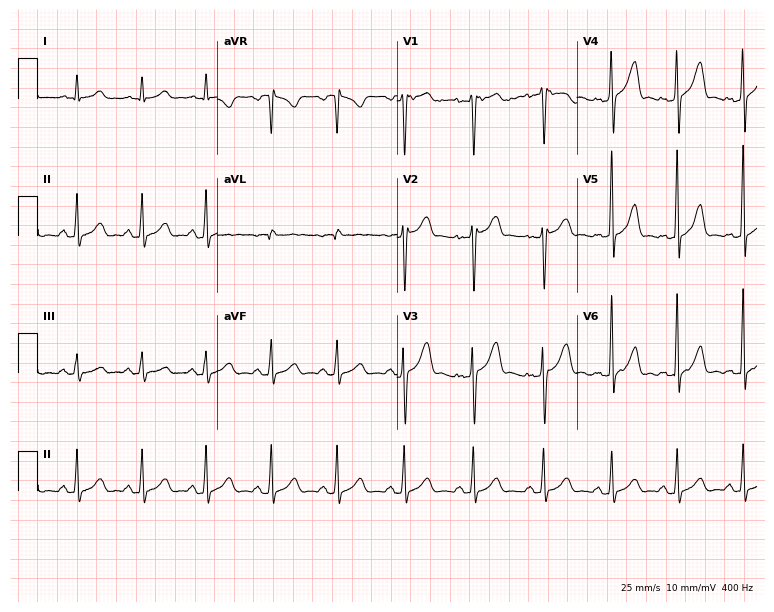
12-lead ECG from a man, 36 years old. Labelled as a normal ECG.